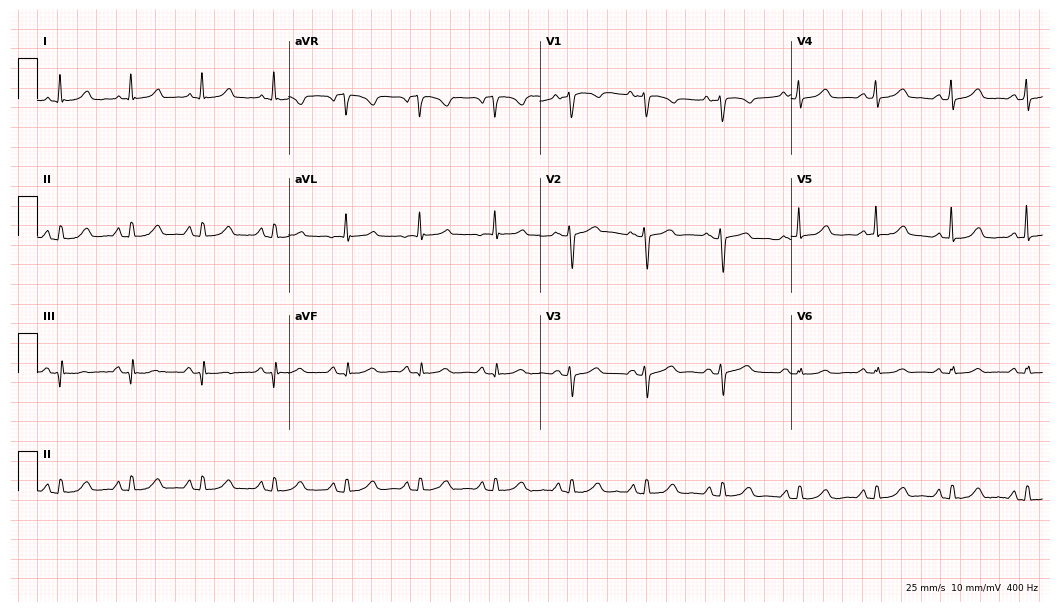
12-lead ECG (10.2-second recording at 400 Hz) from a 69-year-old female. Labelled as a normal ECG.